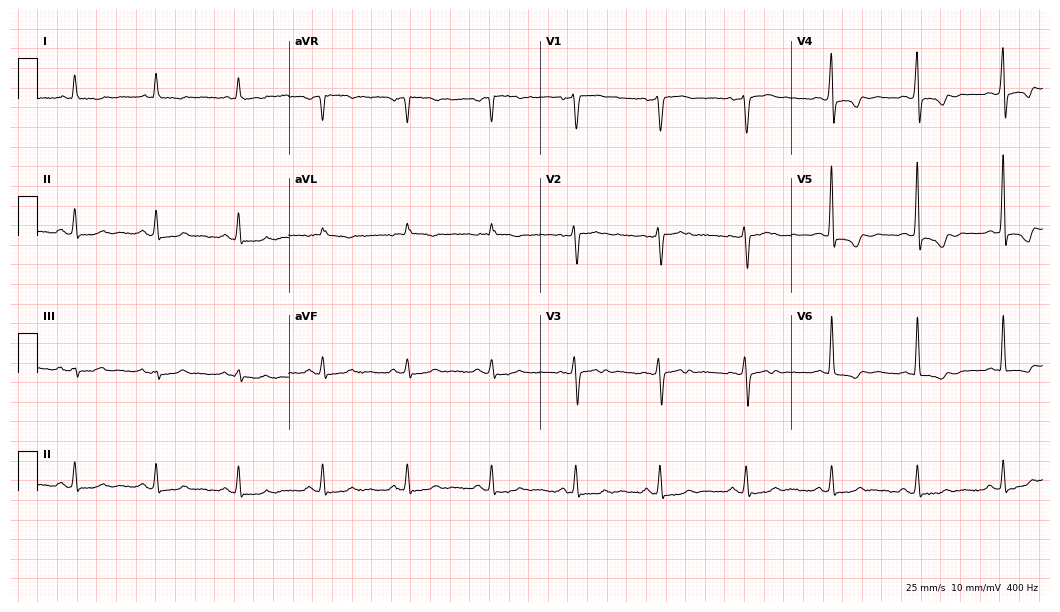
Standard 12-lead ECG recorded from a 63-year-old male (10.2-second recording at 400 Hz). None of these six findings is recorded: first-degree AV block, right bundle branch block (RBBB), left bundle branch block (LBBB), sinus bradycardia, atrial fibrillation (AF), sinus tachycardia. Only these six findings were labelled.